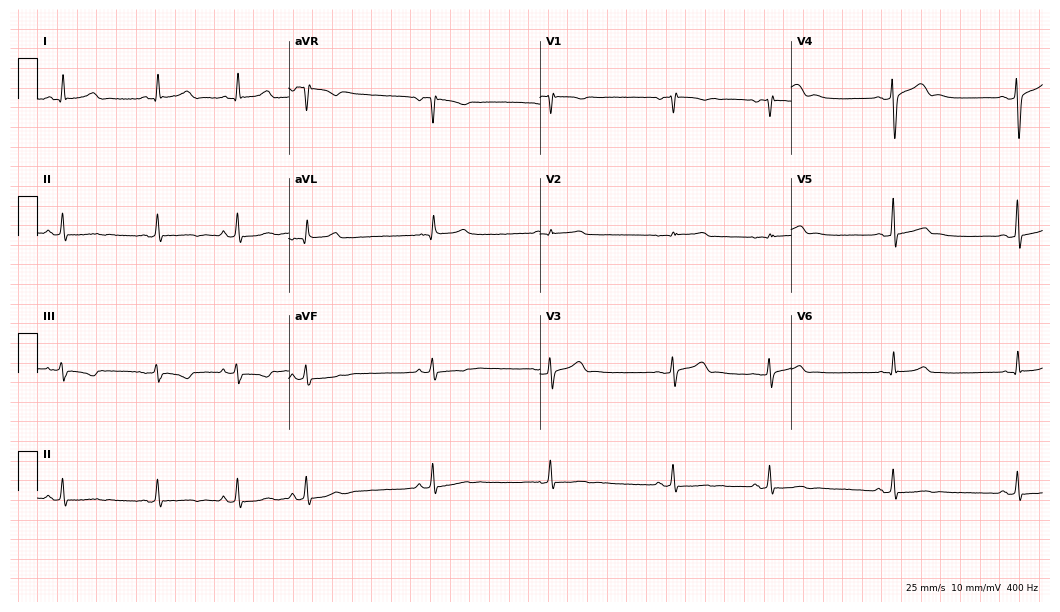
Electrocardiogram (10.2-second recording at 400 Hz), a 25-year-old female. Of the six screened findings (first-degree AV block, right bundle branch block, left bundle branch block, sinus bradycardia, atrial fibrillation, sinus tachycardia), none is recorded.